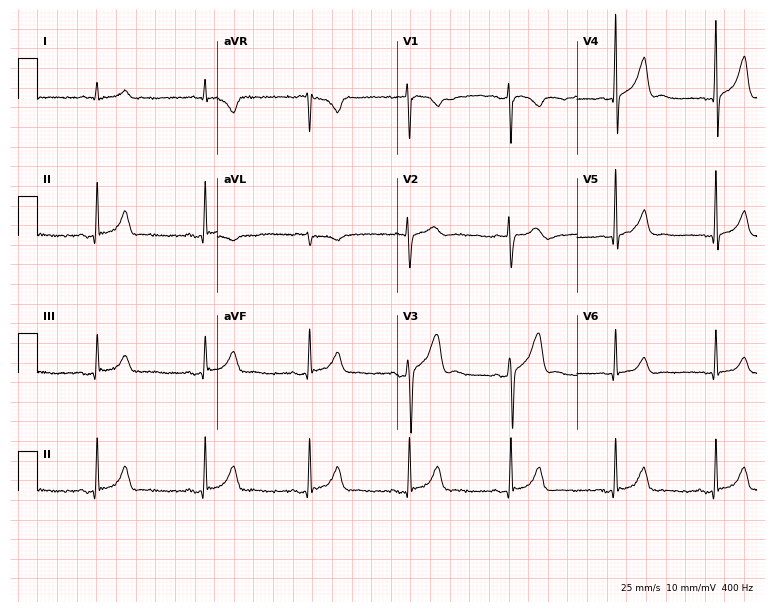
ECG — a 49-year-old male patient. Screened for six findings — first-degree AV block, right bundle branch block, left bundle branch block, sinus bradycardia, atrial fibrillation, sinus tachycardia — none is recorded.